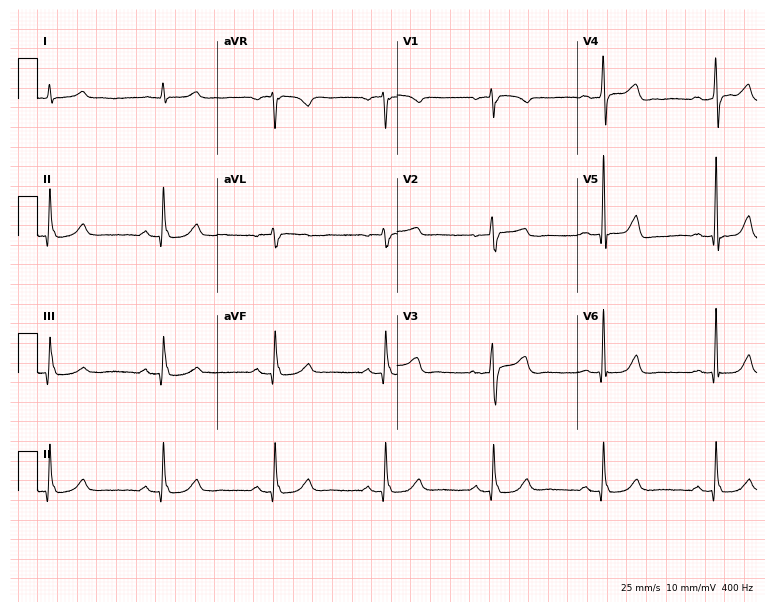
Electrocardiogram, a male, 73 years old. Of the six screened findings (first-degree AV block, right bundle branch block, left bundle branch block, sinus bradycardia, atrial fibrillation, sinus tachycardia), none is recorded.